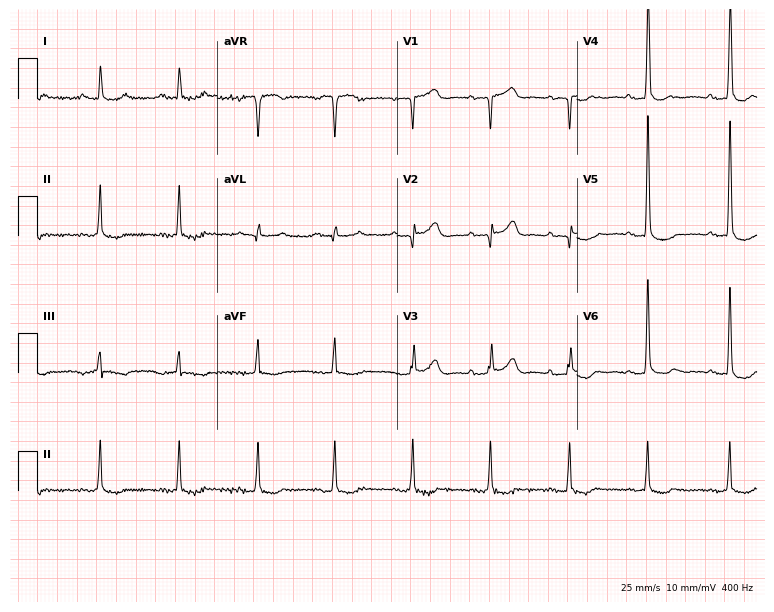
Resting 12-lead electrocardiogram. Patient: a 73-year-old woman. None of these six findings is recorded: first-degree AV block, right bundle branch block, left bundle branch block, sinus bradycardia, atrial fibrillation, sinus tachycardia.